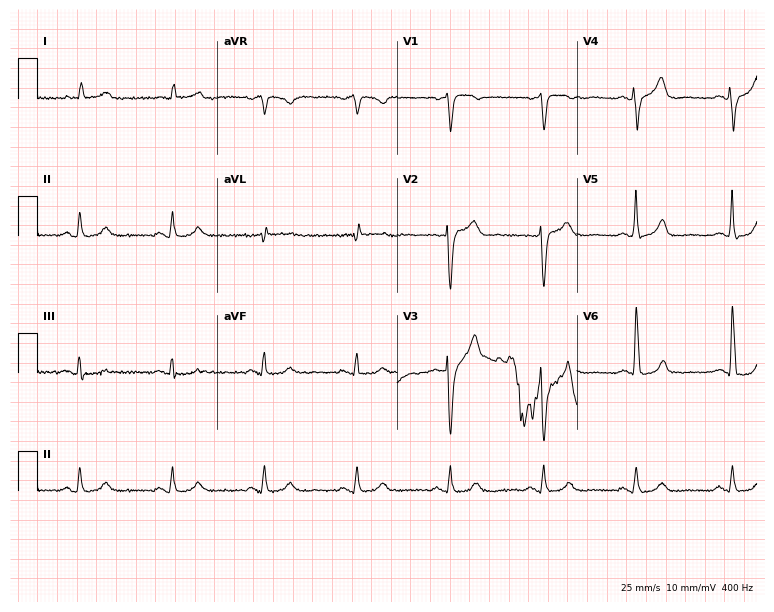
12-lead ECG from a male patient, 68 years old. Labelled as a normal ECG.